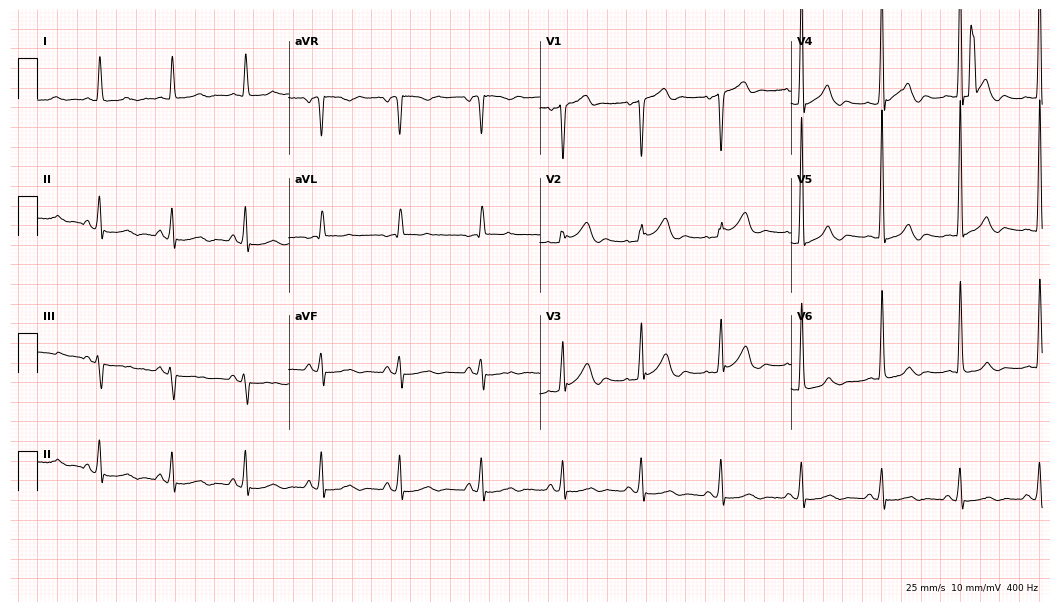
Standard 12-lead ECG recorded from a 71-year-old male patient. None of these six findings is recorded: first-degree AV block, right bundle branch block (RBBB), left bundle branch block (LBBB), sinus bradycardia, atrial fibrillation (AF), sinus tachycardia. Only these six findings were labelled.